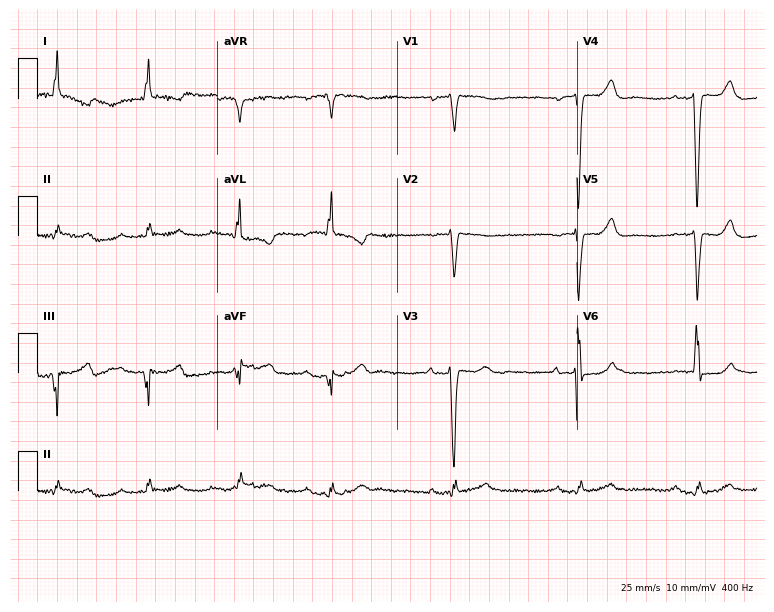
Electrocardiogram, a 72-year-old man. Of the six screened findings (first-degree AV block, right bundle branch block, left bundle branch block, sinus bradycardia, atrial fibrillation, sinus tachycardia), none is recorded. Only these six findings were labelled.